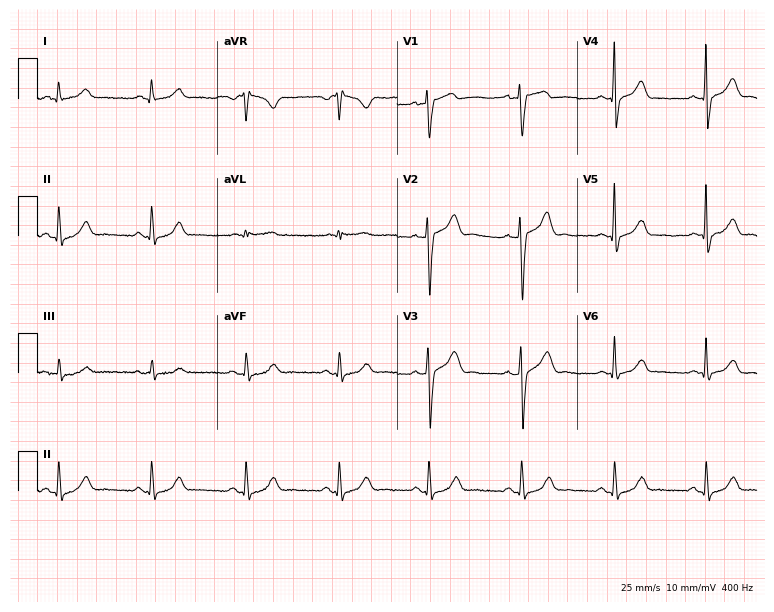
ECG (7.3-second recording at 400 Hz) — a man, 38 years old. Labelled as a normal ECG.